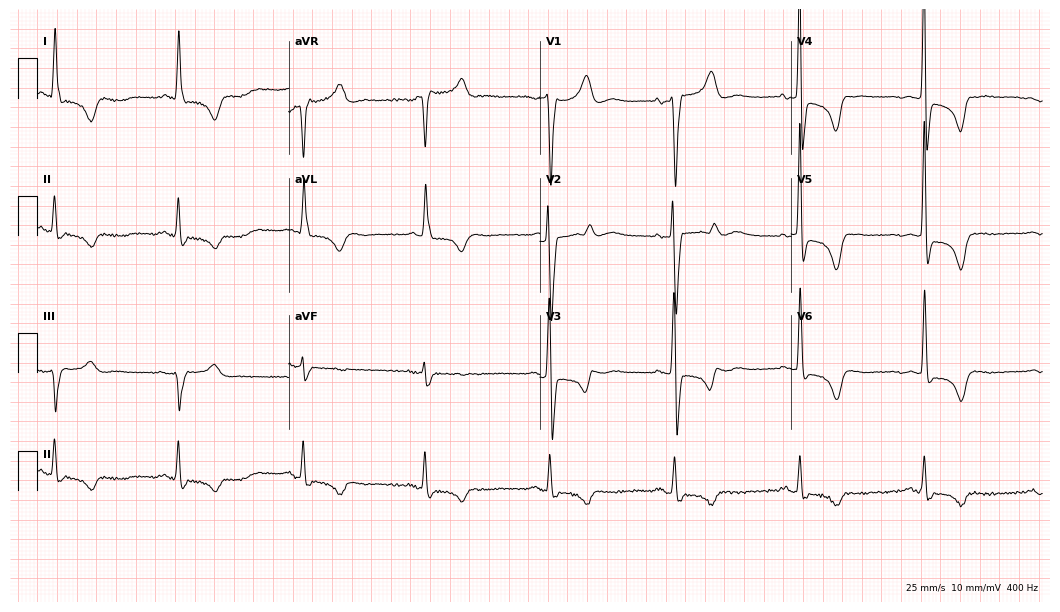
Electrocardiogram (10.2-second recording at 400 Hz), a 69-year-old male patient. Of the six screened findings (first-degree AV block, right bundle branch block, left bundle branch block, sinus bradycardia, atrial fibrillation, sinus tachycardia), none is recorded. Only these six findings were labelled.